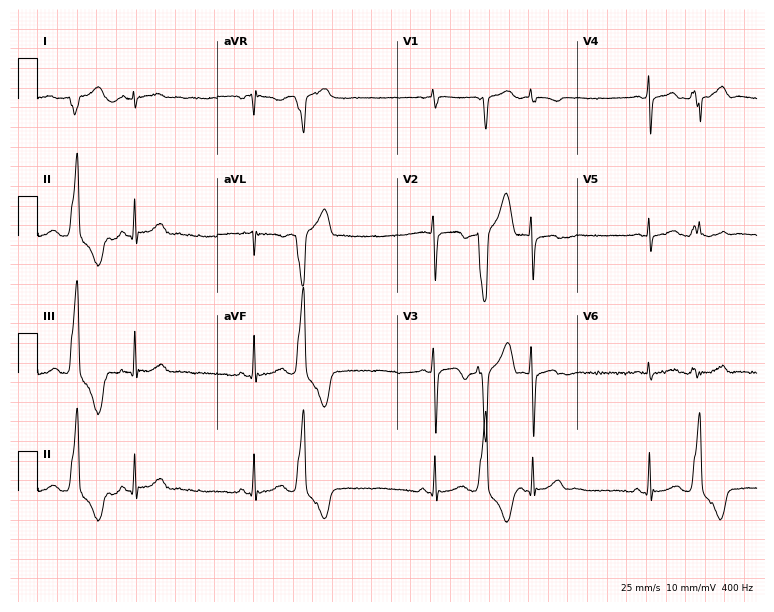
12-lead ECG from a woman, 17 years old. No first-degree AV block, right bundle branch block (RBBB), left bundle branch block (LBBB), sinus bradycardia, atrial fibrillation (AF) or sinus tachycardia recorded for this tracing.